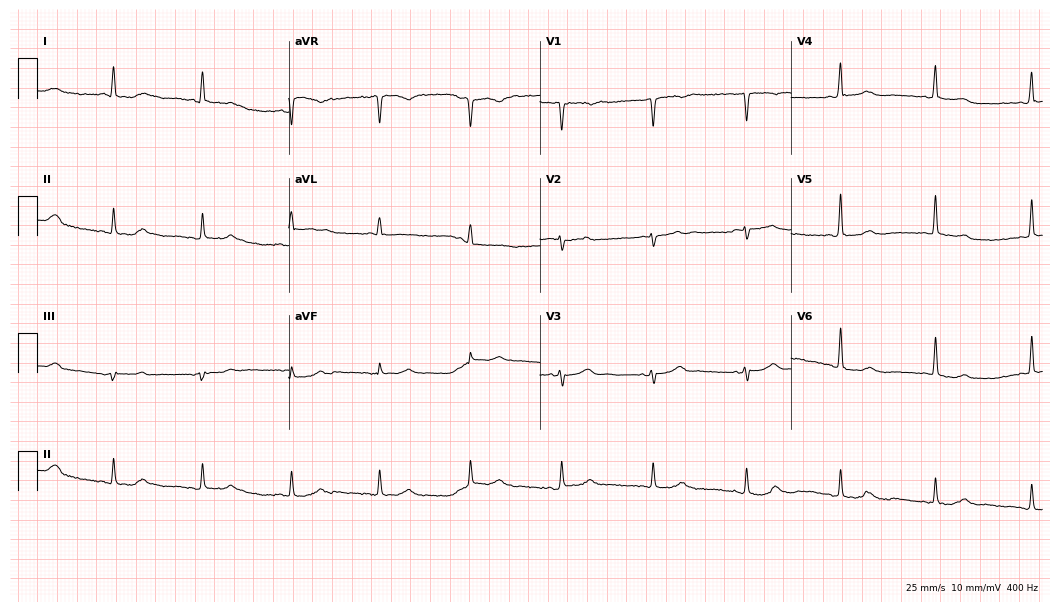
Resting 12-lead electrocardiogram (10.2-second recording at 400 Hz). Patient: a 64-year-old male. None of these six findings is recorded: first-degree AV block, right bundle branch block, left bundle branch block, sinus bradycardia, atrial fibrillation, sinus tachycardia. Findings outside these six are not listed.